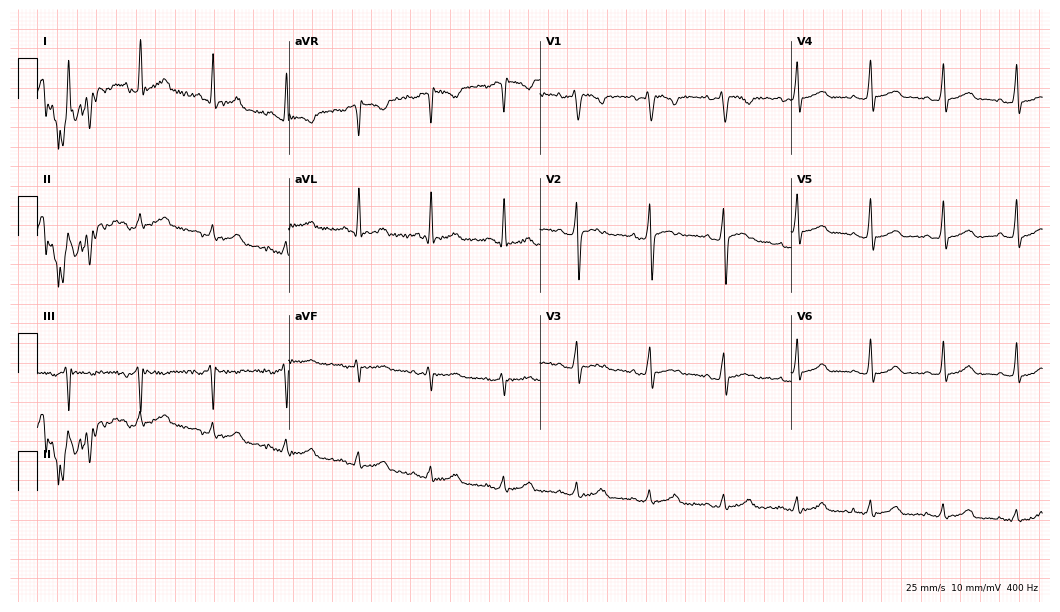
Electrocardiogram, a man, 38 years old. Overall reading on record: normal ECG.